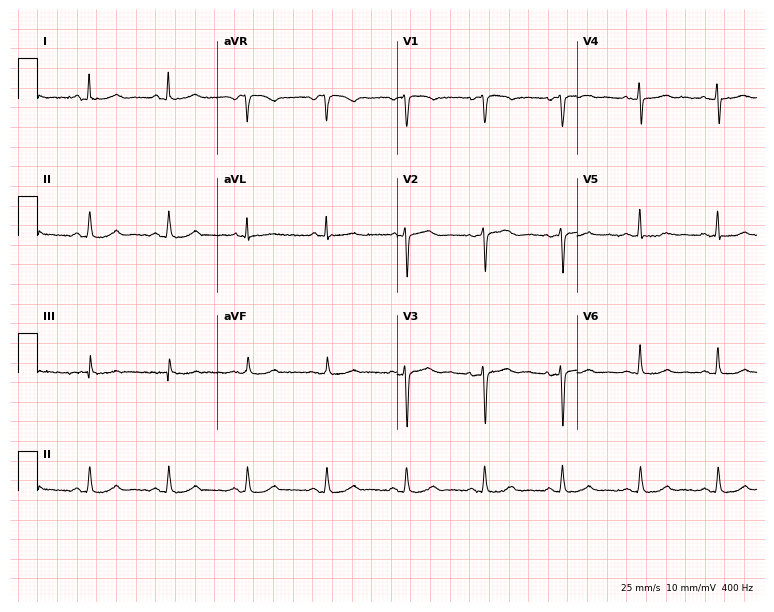
Resting 12-lead electrocardiogram (7.3-second recording at 400 Hz). Patient: a 49-year-old woman. None of these six findings is recorded: first-degree AV block, right bundle branch block, left bundle branch block, sinus bradycardia, atrial fibrillation, sinus tachycardia.